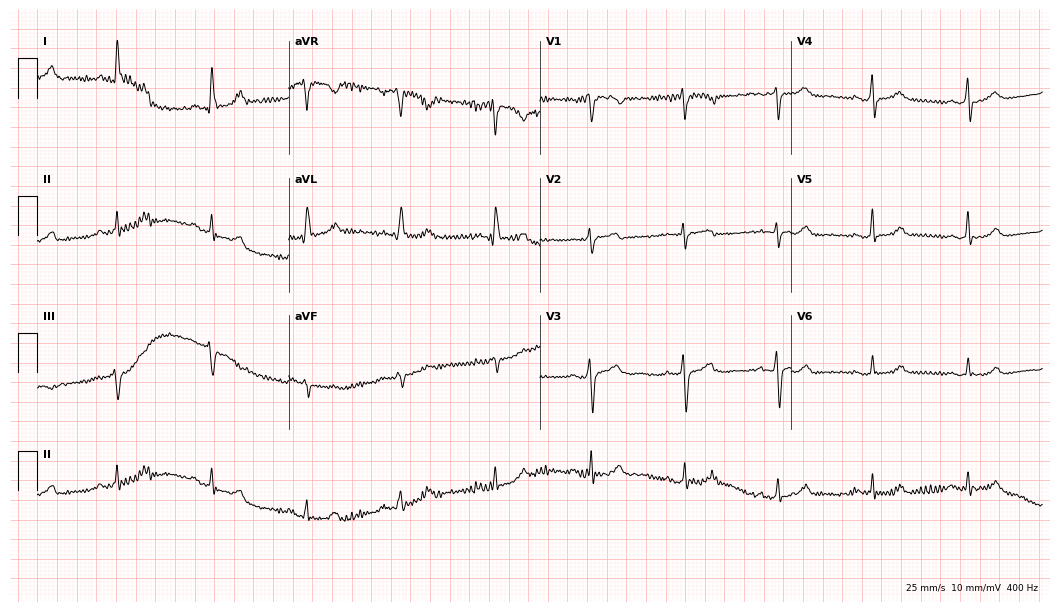
Electrocardiogram (10.2-second recording at 400 Hz), a male patient, 49 years old. Of the six screened findings (first-degree AV block, right bundle branch block, left bundle branch block, sinus bradycardia, atrial fibrillation, sinus tachycardia), none is recorded.